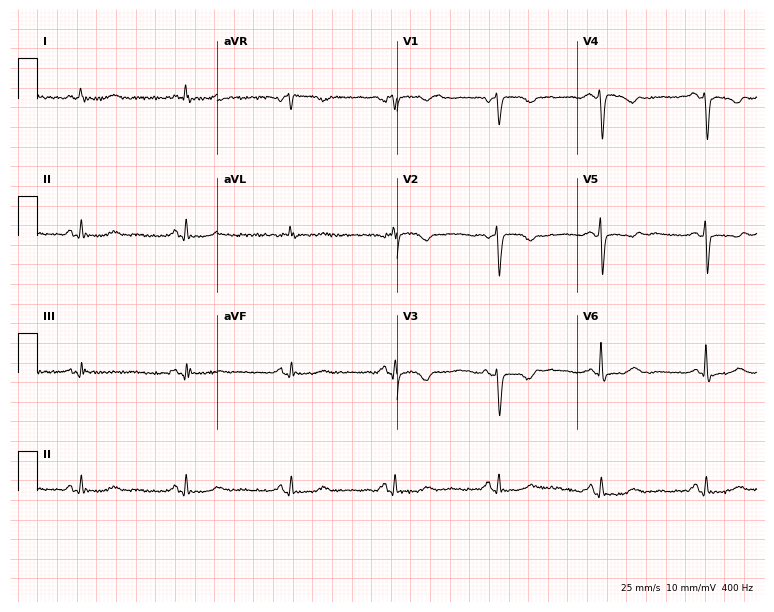
Electrocardiogram, a woman, 59 years old. Of the six screened findings (first-degree AV block, right bundle branch block (RBBB), left bundle branch block (LBBB), sinus bradycardia, atrial fibrillation (AF), sinus tachycardia), none is recorded.